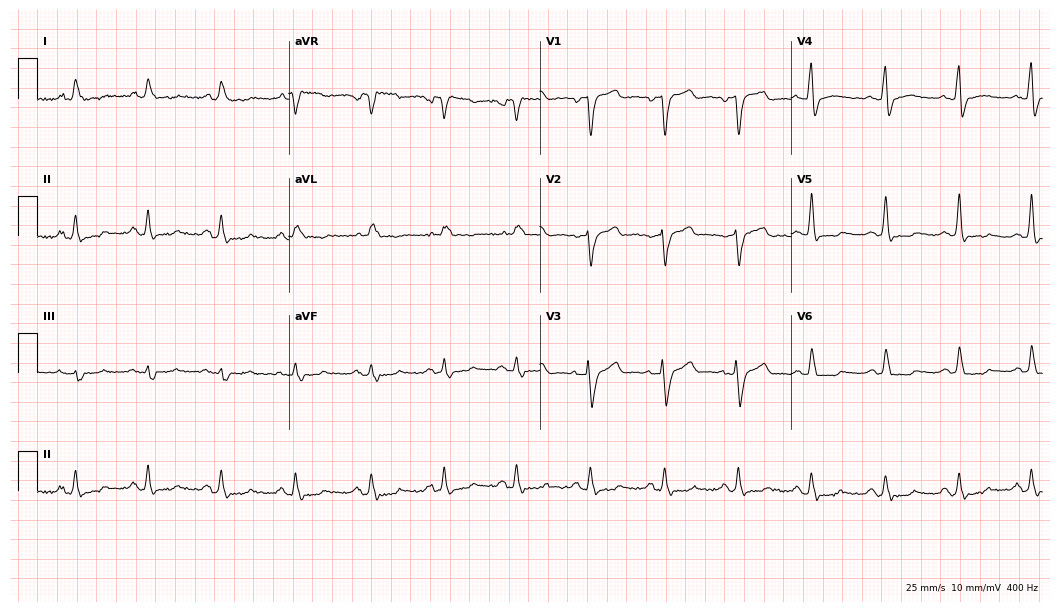
Standard 12-lead ECG recorded from a 41-year-old female. The tracing shows left bundle branch block.